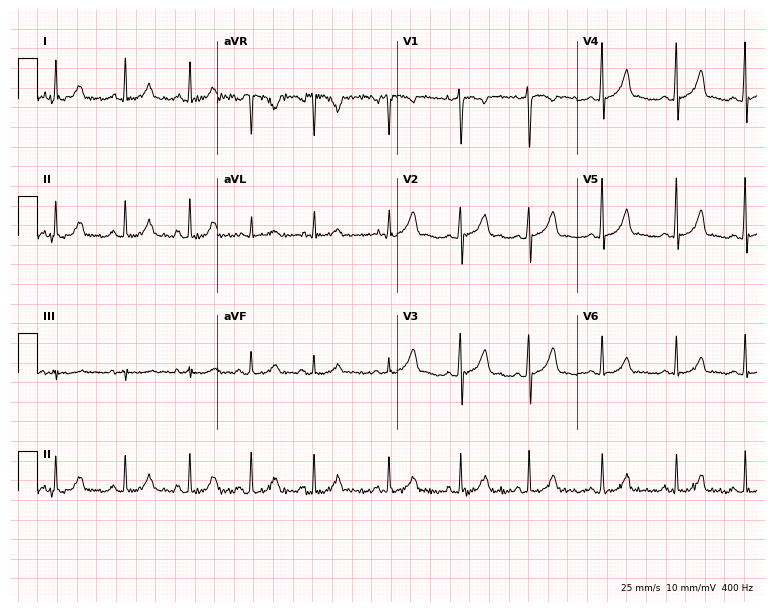
12-lead ECG from a 22-year-old female. Labelled as a normal ECG.